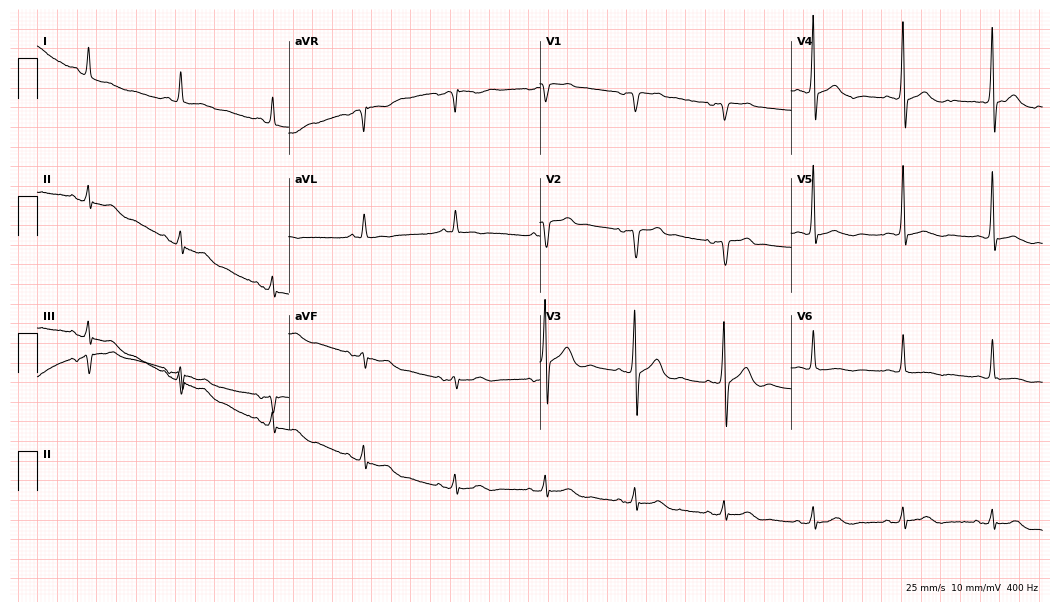
12-lead ECG from a male patient, 64 years old. No first-degree AV block, right bundle branch block, left bundle branch block, sinus bradycardia, atrial fibrillation or sinus tachycardia recorded for this tracing. Other findings, if any, are not listed.